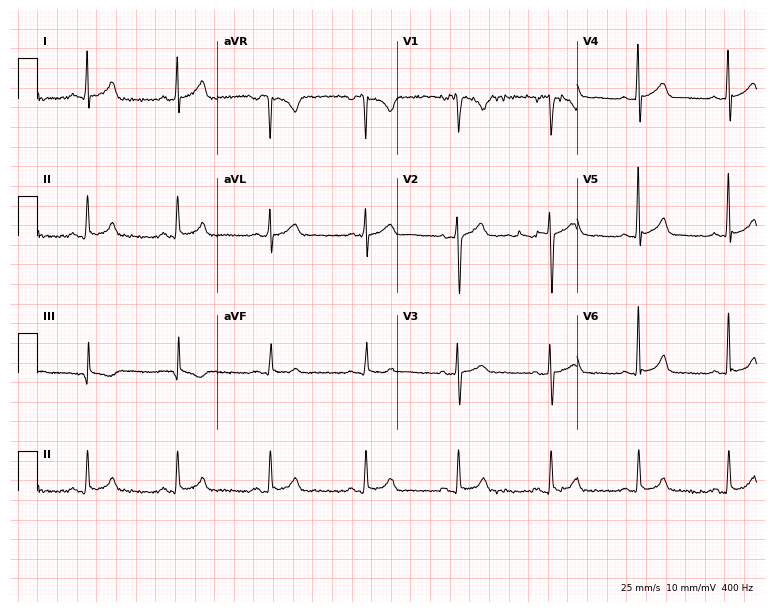
Resting 12-lead electrocardiogram. Patient: a male, 35 years old. Read as a normal ECG.